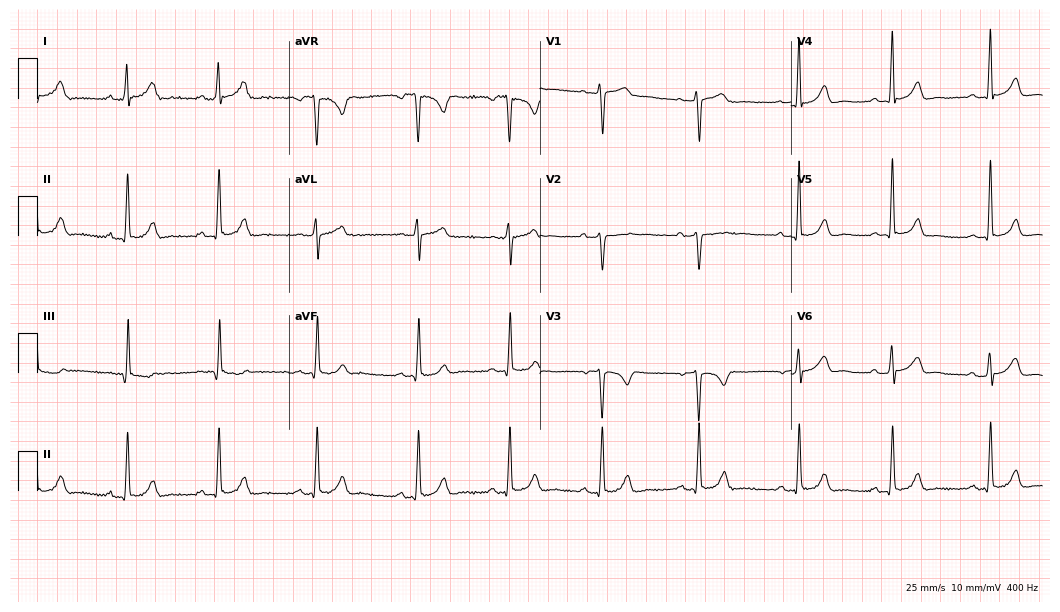
Resting 12-lead electrocardiogram. Patient: a 32-year-old female. None of these six findings is recorded: first-degree AV block, right bundle branch block (RBBB), left bundle branch block (LBBB), sinus bradycardia, atrial fibrillation (AF), sinus tachycardia.